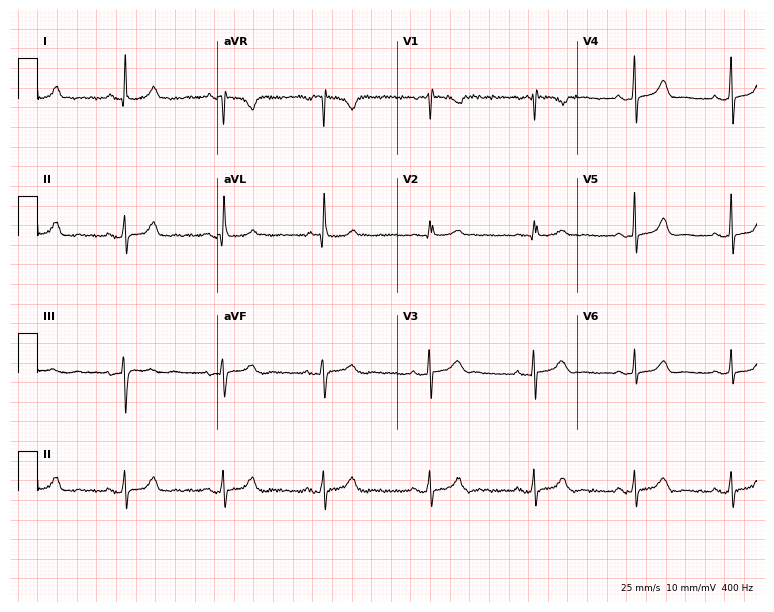
Standard 12-lead ECG recorded from a 54-year-old woman (7.3-second recording at 400 Hz). Read as a normal ECG.